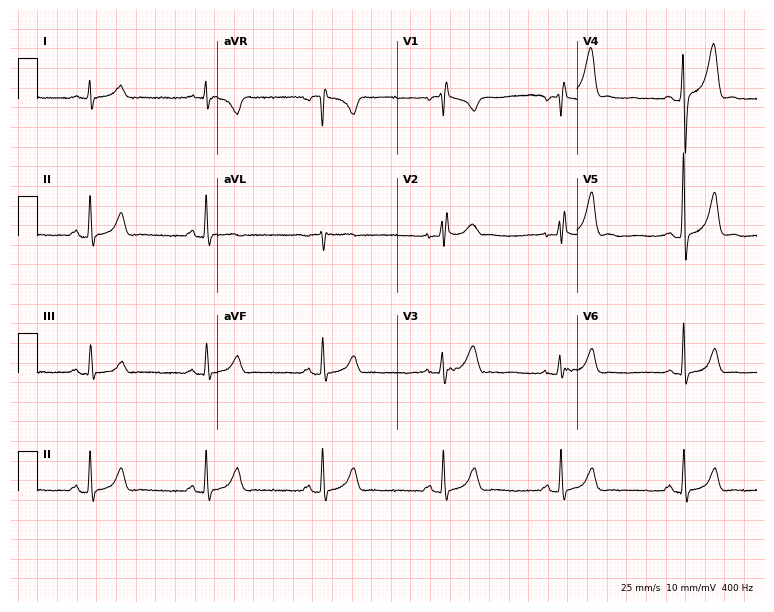
ECG — a 35-year-old male patient. Screened for six findings — first-degree AV block, right bundle branch block (RBBB), left bundle branch block (LBBB), sinus bradycardia, atrial fibrillation (AF), sinus tachycardia — none is recorded. Only these six findings were labelled.